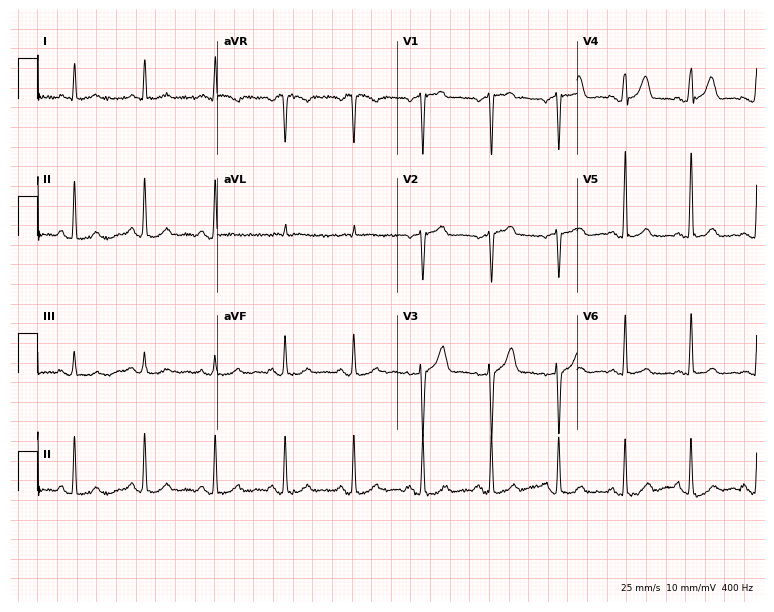
Standard 12-lead ECG recorded from a 46-year-old male patient. Read as a normal ECG.